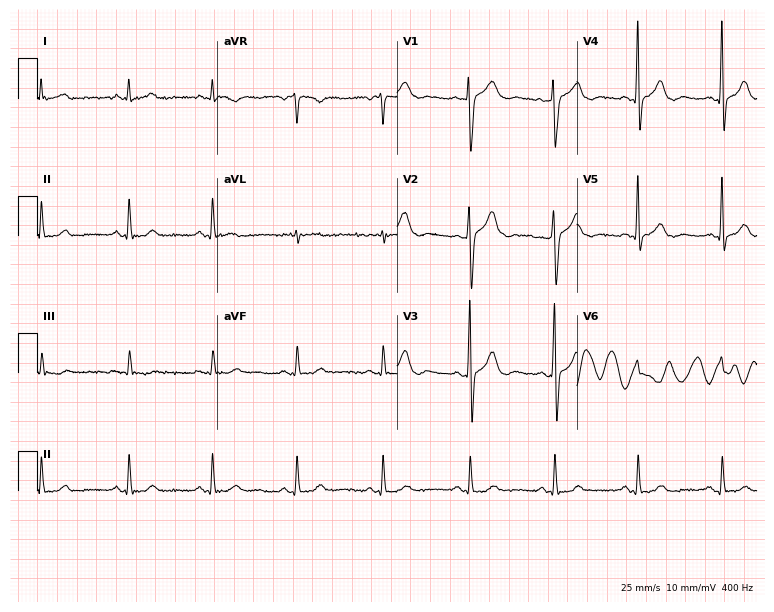
Standard 12-lead ECG recorded from a 20-year-old male (7.3-second recording at 400 Hz). Read as a normal ECG.